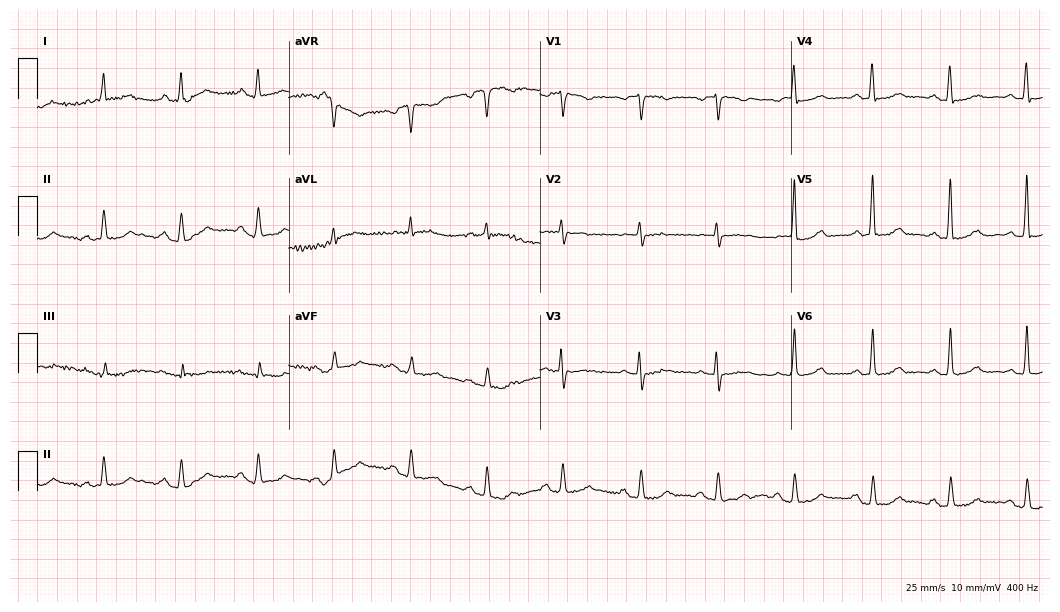
12-lead ECG (10.2-second recording at 400 Hz) from a female patient, 71 years old. Screened for six findings — first-degree AV block, right bundle branch block (RBBB), left bundle branch block (LBBB), sinus bradycardia, atrial fibrillation (AF), sinus tachycardia — none is recorded.